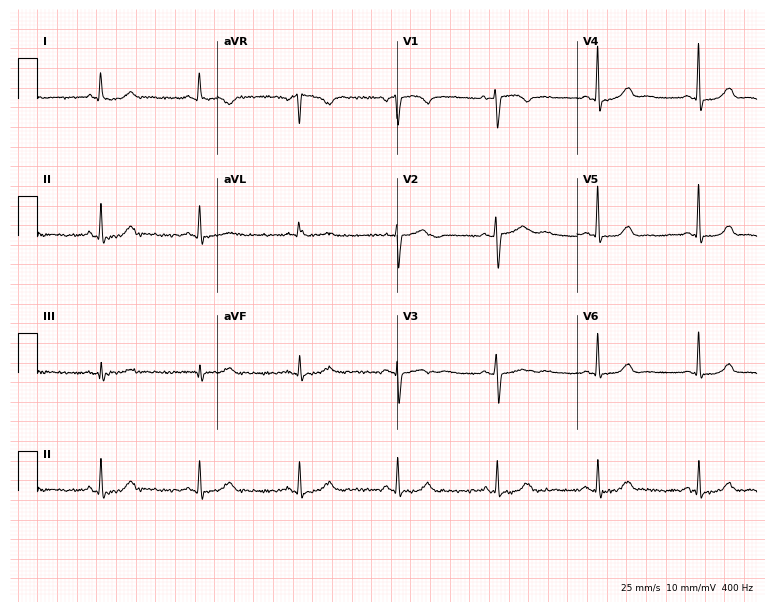
ECG — a 51-year-old female. Labelled as a normal ECG.